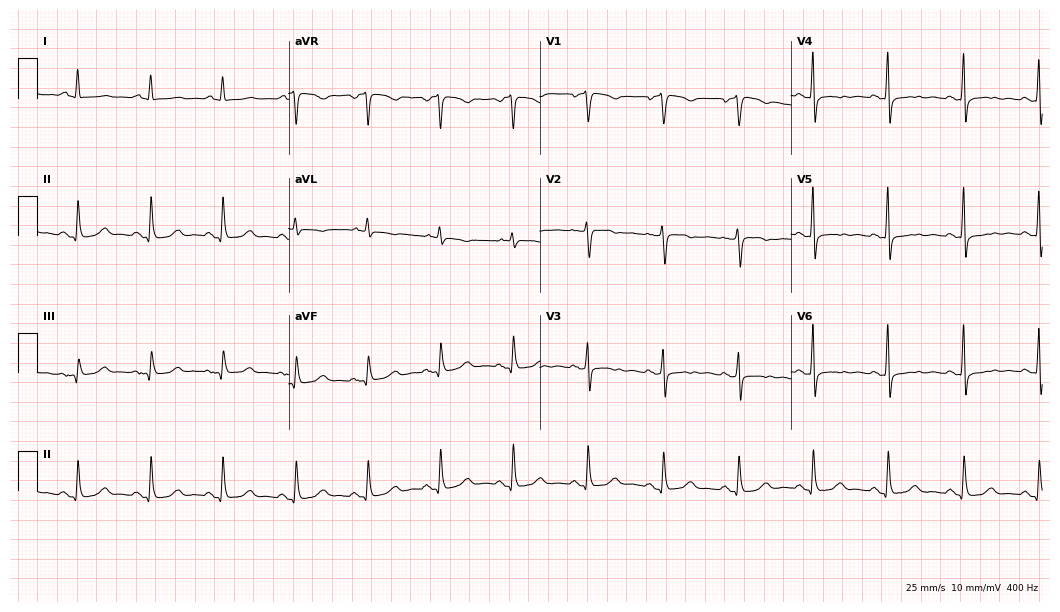
Standard 12-lead ECG recorded from a 65-year-old female (10.2-second recording at 400 Hz). None of these six findings is recorded: first-degree AV block, right bundle branch block, left bundle branch block, sinus bradycardia, atrial fibrillation, sinus tachycardia.